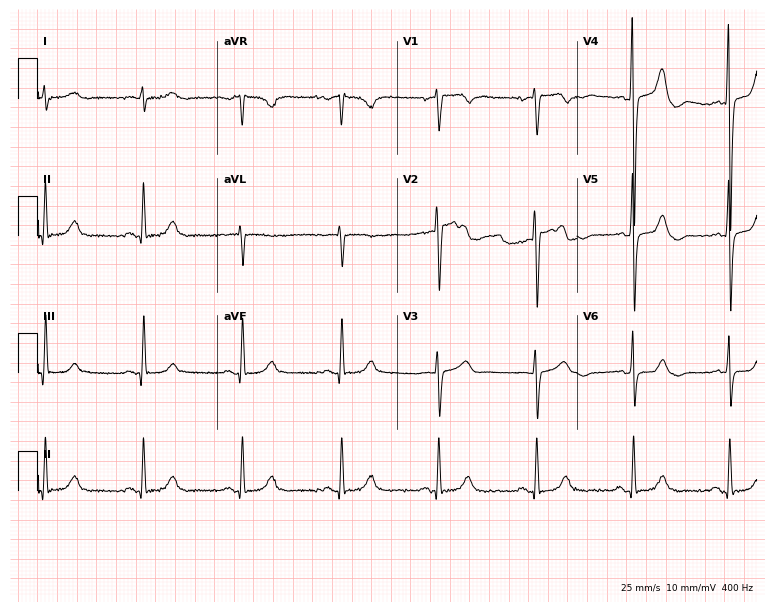
Electrocardiogram (7.3-second recording at 400 Hz), a male patient, 61 years old. Overall reading on record: normal ECG.